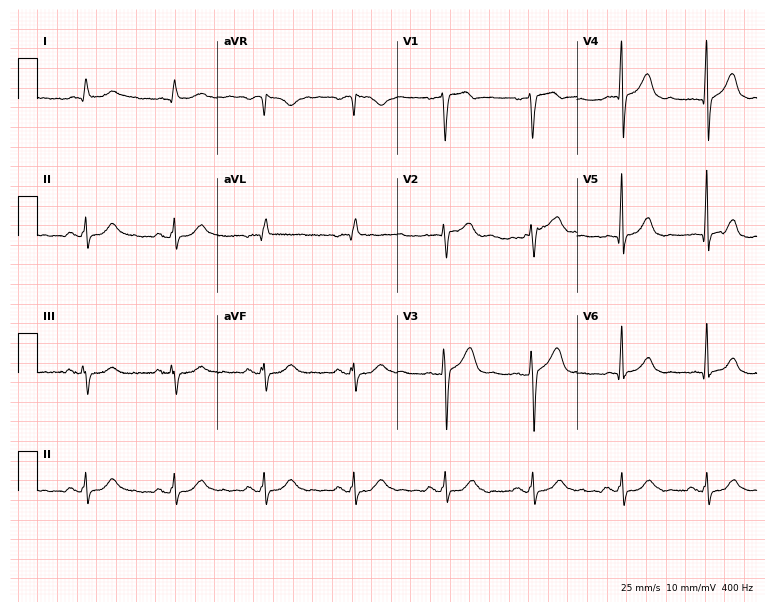
Electrocardiogram (7.3-second recording at 400 Hz), a 63-year-old man. Overall reading on record: normal ECG.